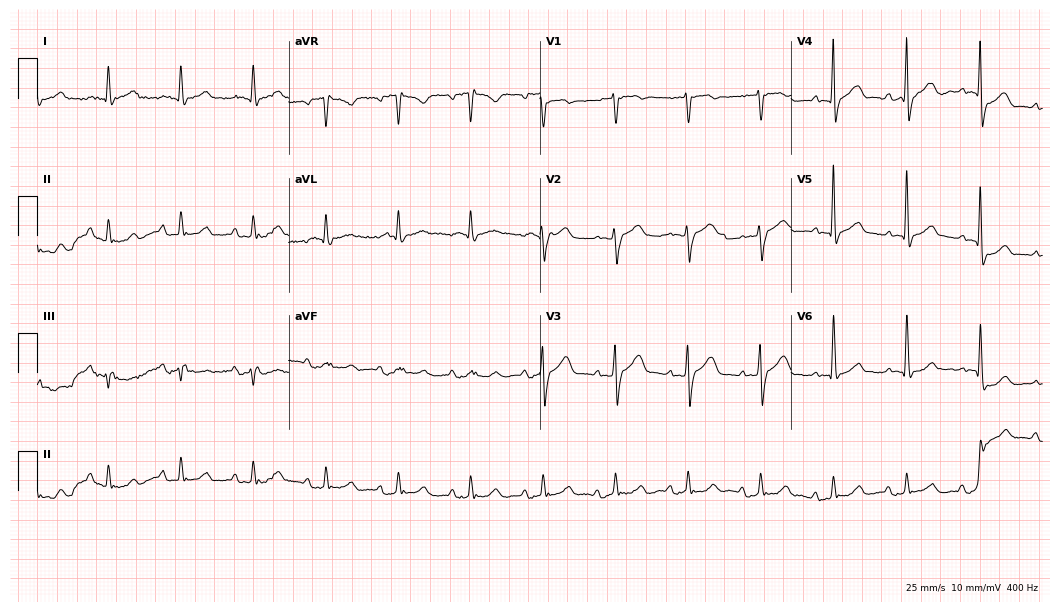
ECG (10.2-second recording at 400 Hz) — a male, 72 years old. Screened for six findings — first-degree AV block, right bundle branch block, left bundle branch block, sinus bradycardia, atrial fibrillation, sinus tachycardia — none is recorded. Other findings, if any, are not listed.